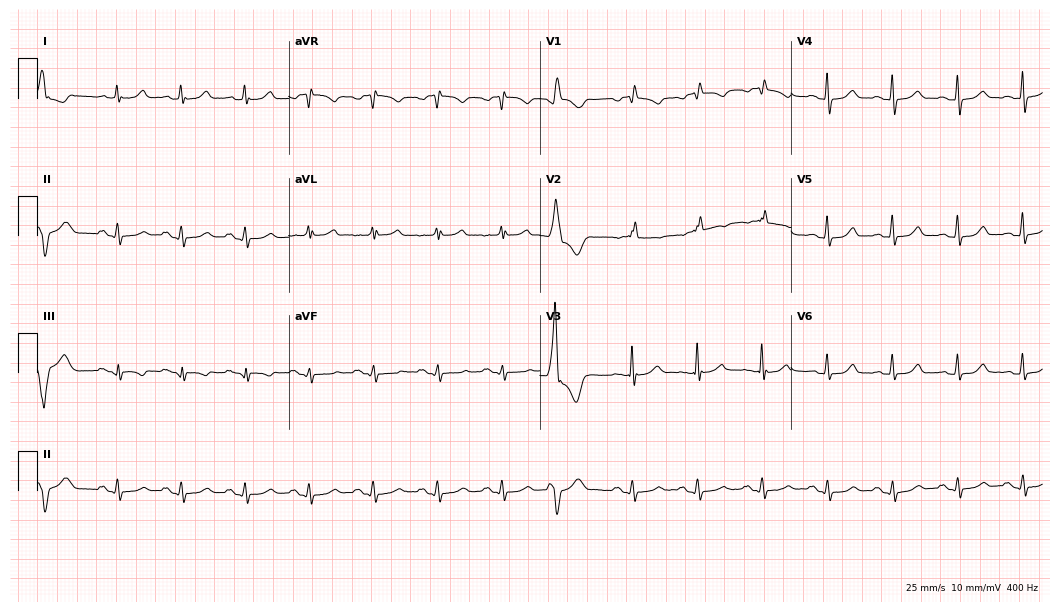
Electrocardiogram, a 54-year-old female. Of the six screened findings (first-degree AV block, right bundle branch block (RBBB), left bundle branch block (LBBB), sinus bradycardia, atrial fibrillation (AF), sinus tachycardia), none is recorded. Other findings, if any, are not listed.